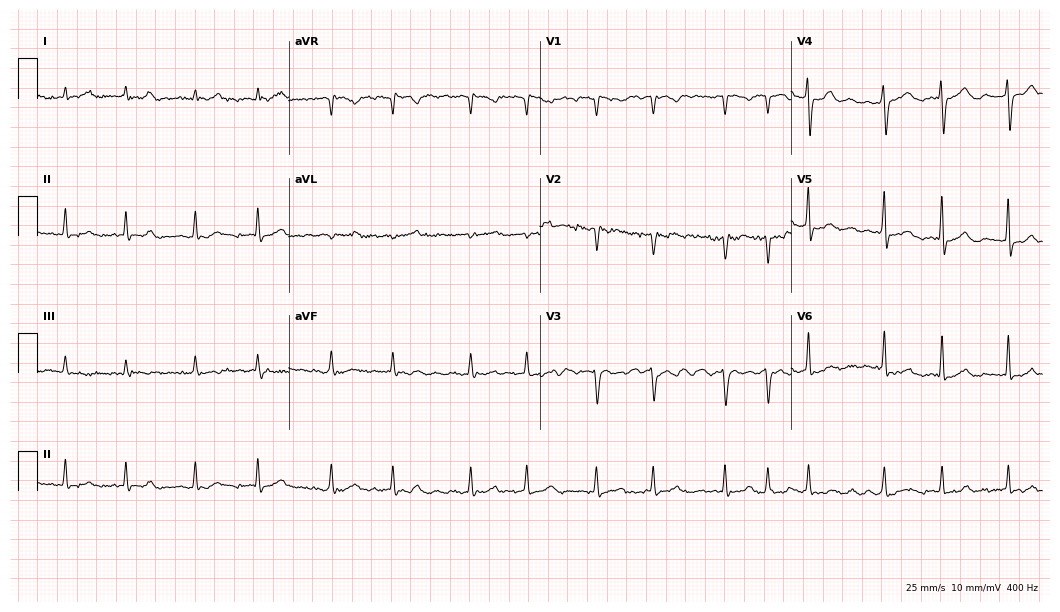
12-lead ECG from a female patient, 72 years old (10.2-second recording at 400 Hz). Shows atrial fibrillation (AF).